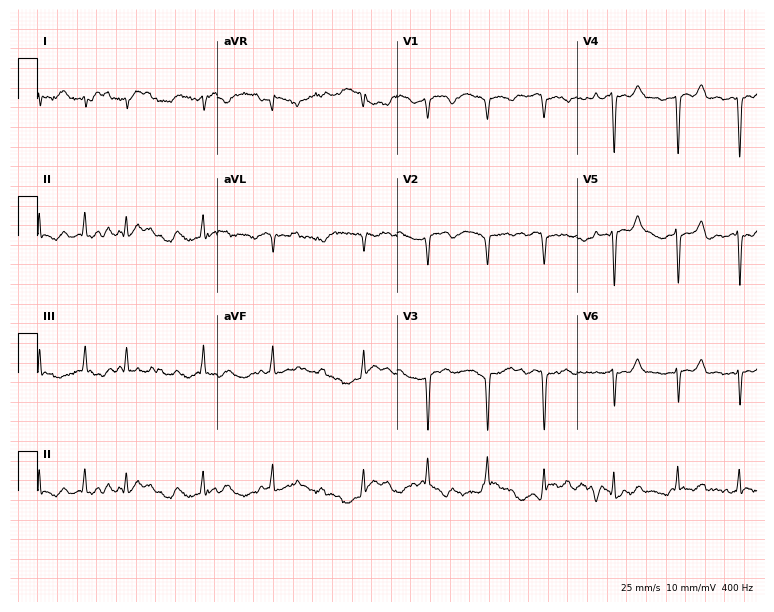
Electrocardiogram, a 79-year-old female patient. Of the six screened findings (first-degree AV block, right bundle branch block, left bundle branch block, sinus bradycardia, atrial fibrillation, sinus tachycardia), none is recorded.